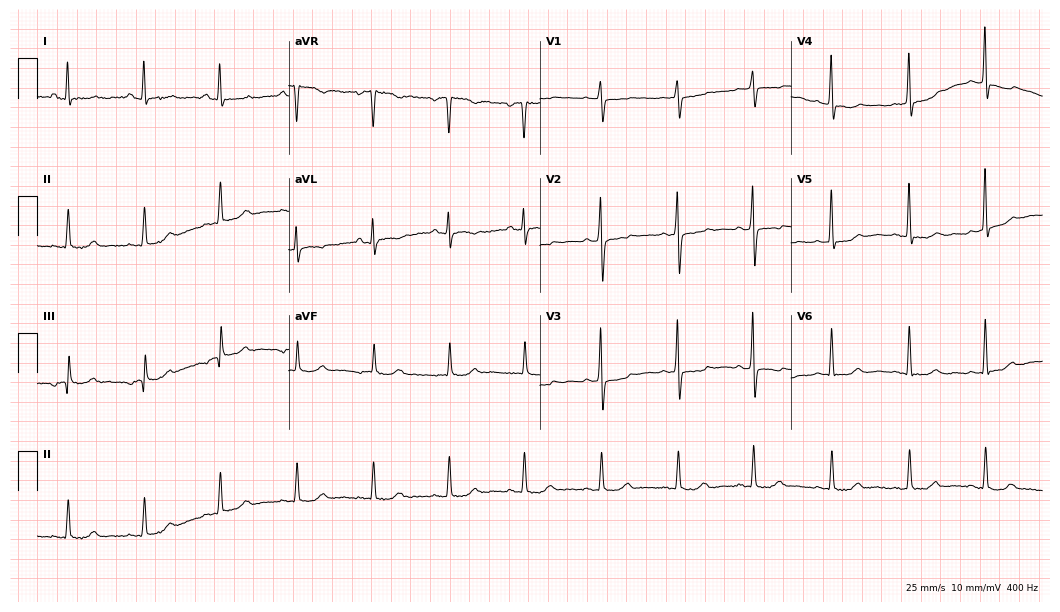
12-lead ECG from a 62-year-old female patient. Screened for six findings — first-degree AV block, right bundle branch block (RBBB), left bundle branch block (LBBB), sinus bradycardia, atrial fibrillation (AF), sinus tachycardia — none is recorded.